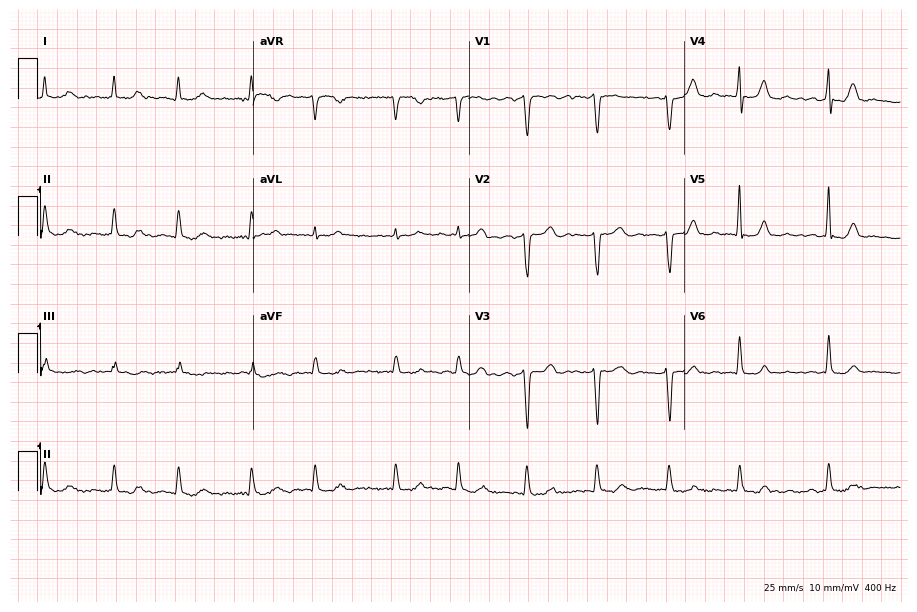
12-lead ECG (8.8-second recording at 400 Hz) from an 81-year-old woman. Findings include atrial fibrillation.